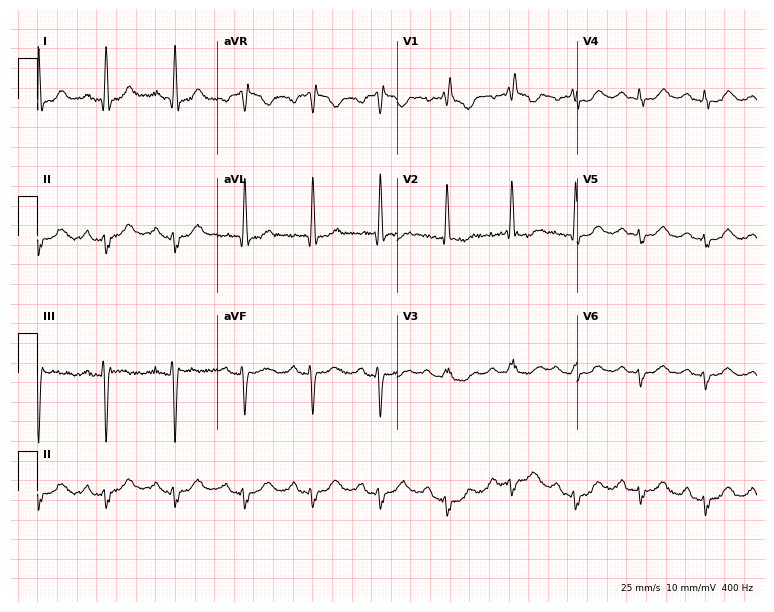
Resting 12-lead electrocardiogram (7.3-second recording at 400 Hz). Patient: a 57-year-old woman. The tracing shows first-degree AV block, right bundle branch block.